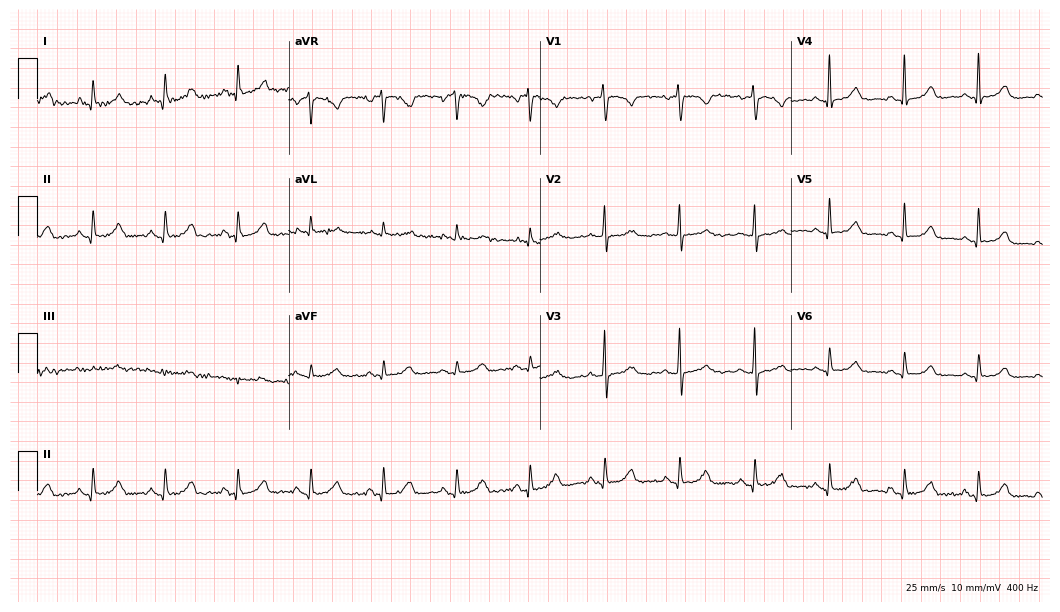
Resting 12-lead electrocardiogram. Patient: a female, 63 years old. Read as a normal ECG.